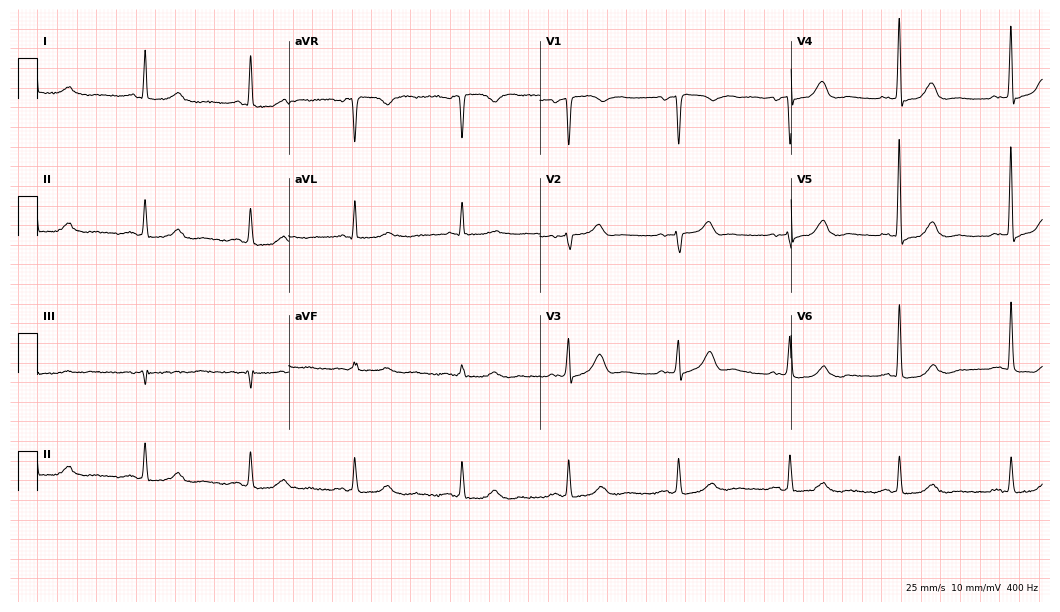
Resting 12-lead electrocardiogram (10.2-second recording at 400 Hz). Patient: a 74-year-old male. None of these six findings is recorded: first-degree AV block, right bundle branch block (RBBB), left bundle branch block (LBBB), sinus bradycardia, atrial fibrillation (AF), sinus tachycardia.